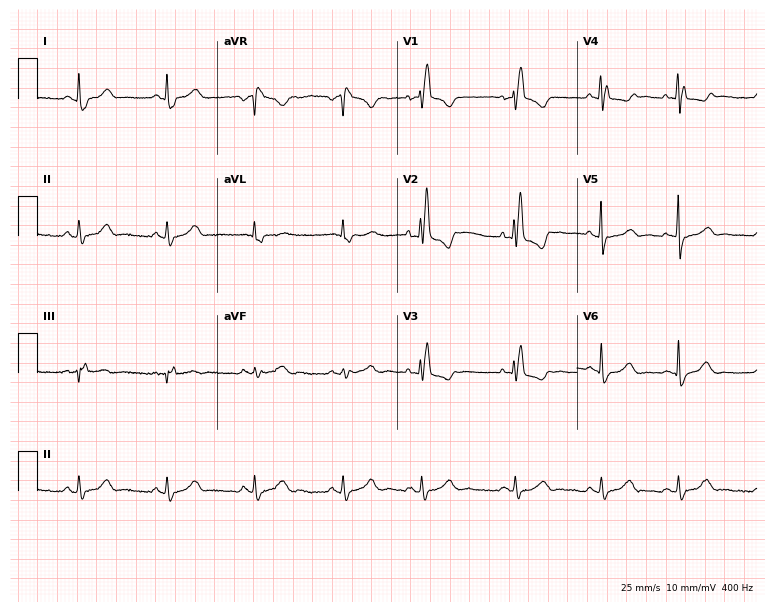
Resting 12-lead electrocardiogram. Patient: a woman, 46 years old. The tracing shows right bundle branch block.